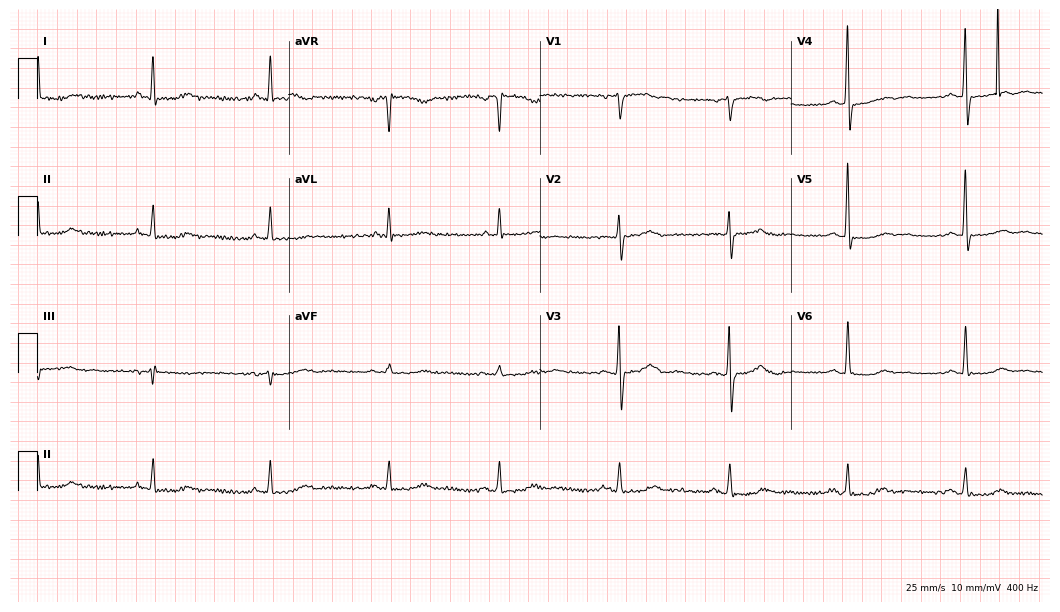
Standard 12-lead ECG recorded from a 77-year-old female (10.2-second recording at 400 Hz). None of these six findings is recorded: first-degree AV block, right bundle branch block (RBBB), left bundle branch block (LBBB), sinus bradycardia, atrial fibrillation (AF), sinus tachycardia.